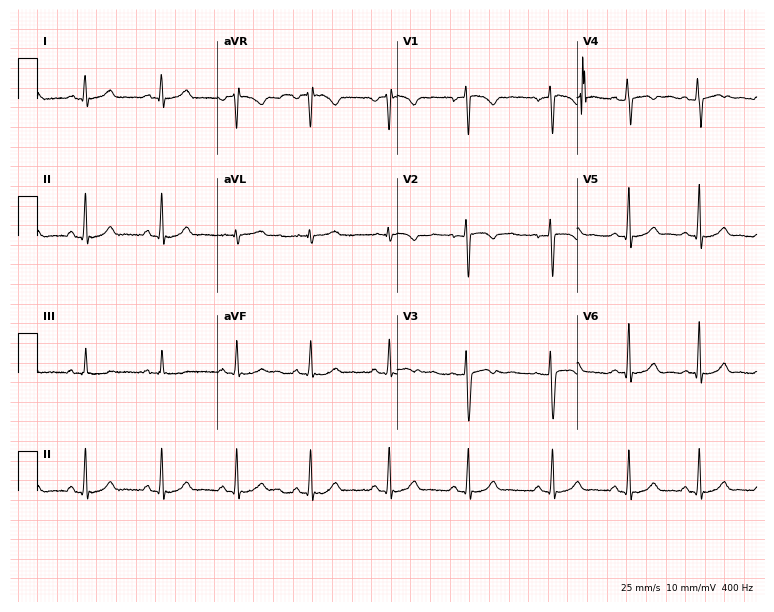
Resting 12-lead electrocardiogram (7.3-second recording at 400 Hz). Patient: a female, 21 years old. Read as a normal ECG.